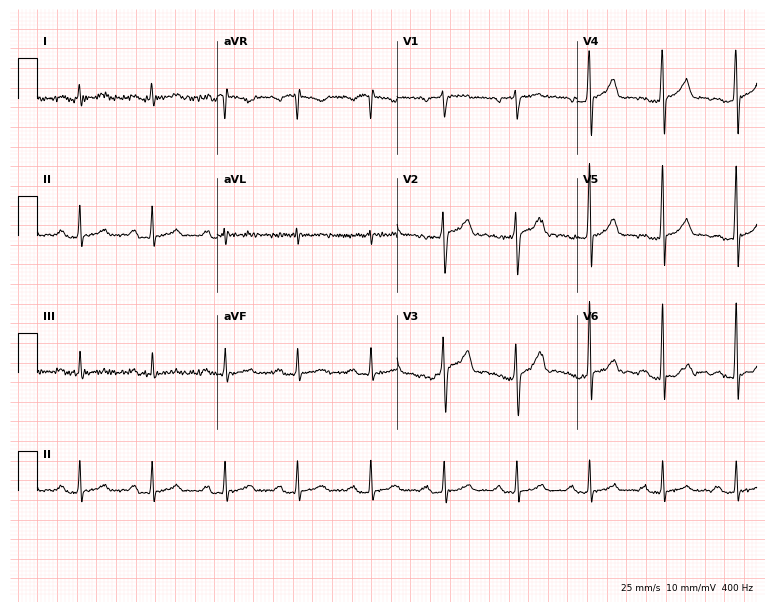
12-lead ECG from a 47-year-old male patient. No first-degree AV block, right bundle branch block, left bundle branch block, sinus bradycardia, atrial fibrillation or sinus tachycardia recorded for this tracing. Only these six findings were labelled.